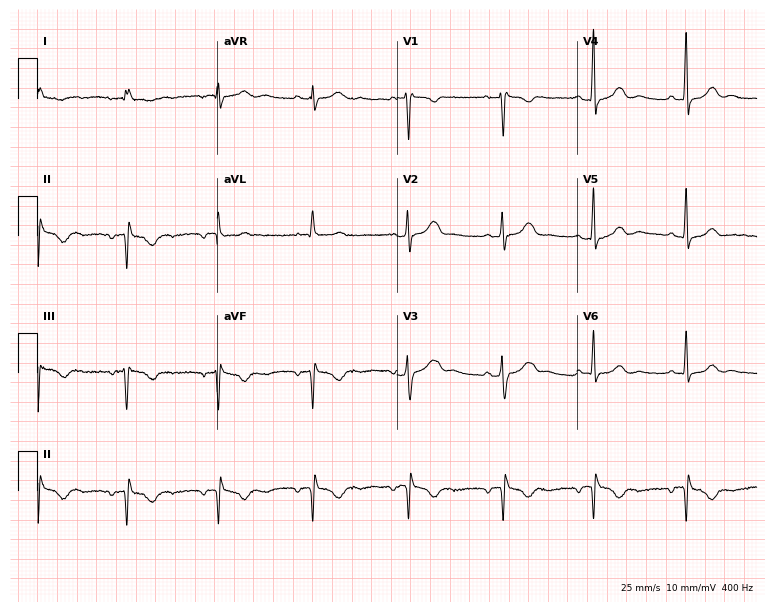
12-lead ECG from a 50-year-old female (7.3-second recording at 400 Hz). No first-degree AV block, right bundle branch block (RBBB), left bundle branch block (LBBB), sinus bradycardia, atrial fibrillation (AF) or sinus tachycardia recorded for this tracing.